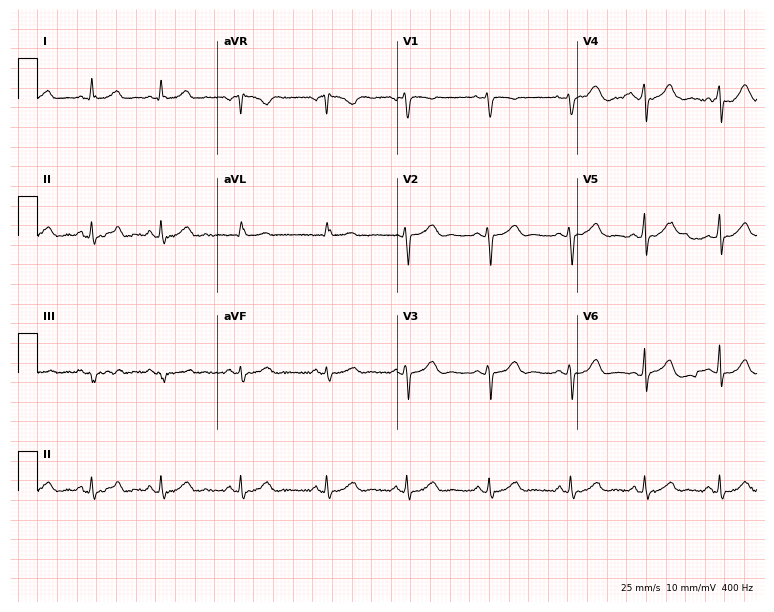
Standard 12-lead ECG recorded from a female patient, 21 years old. Read as a normal ECG.